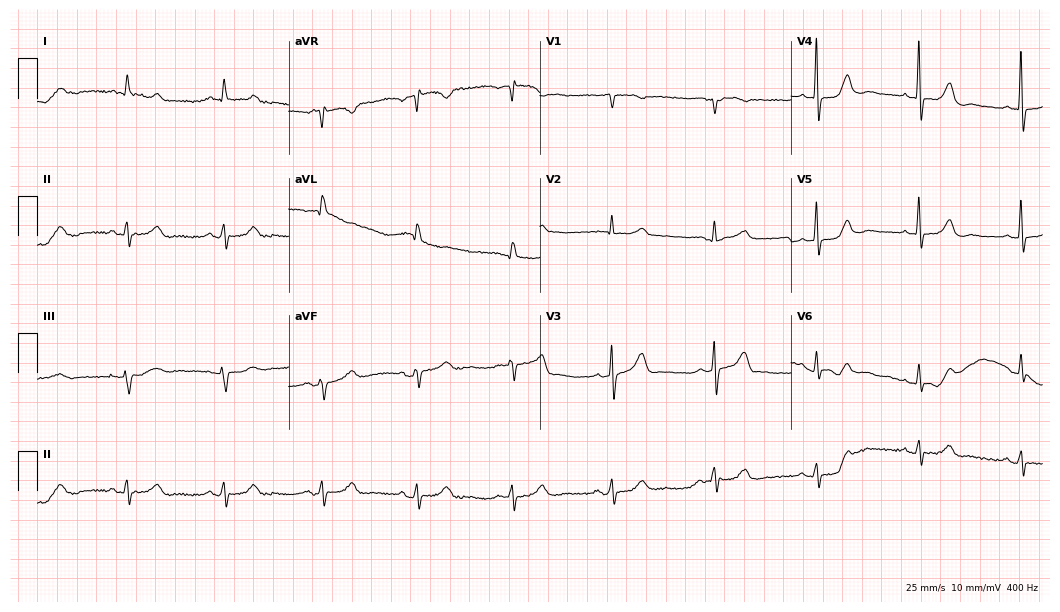
Resting 12-lead electrocardiogram (10.2-second recording at 400 Hz). Patient: a 67-year-old female. None of these six findings is recorded: first-degree AV block, right bundle branch block, left bundle branch block, sinus bradycardia, atrial fibrillation, sinus tachycardia.